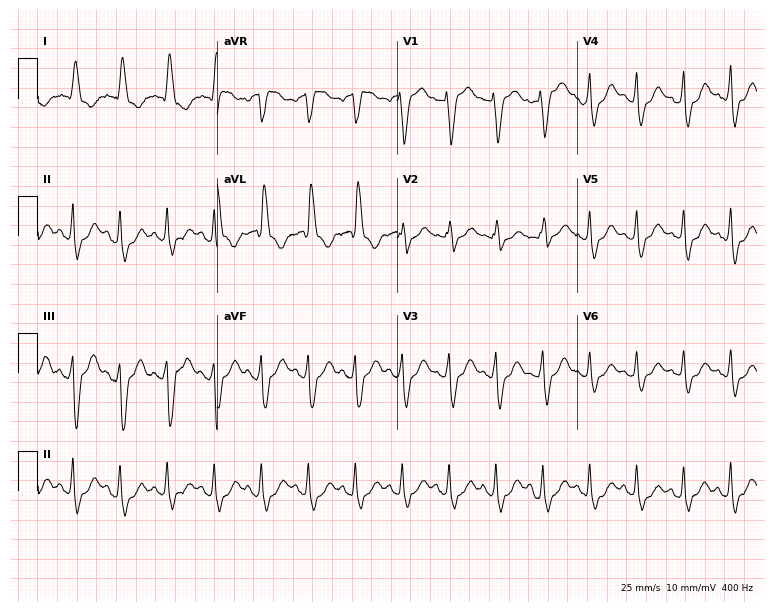
Standard 12-lead ECG recorded from a female, 61 years old. The tracing shows left bundle branch block, sinus tachycardia (a sinus rate of 100 beats per minute or more).